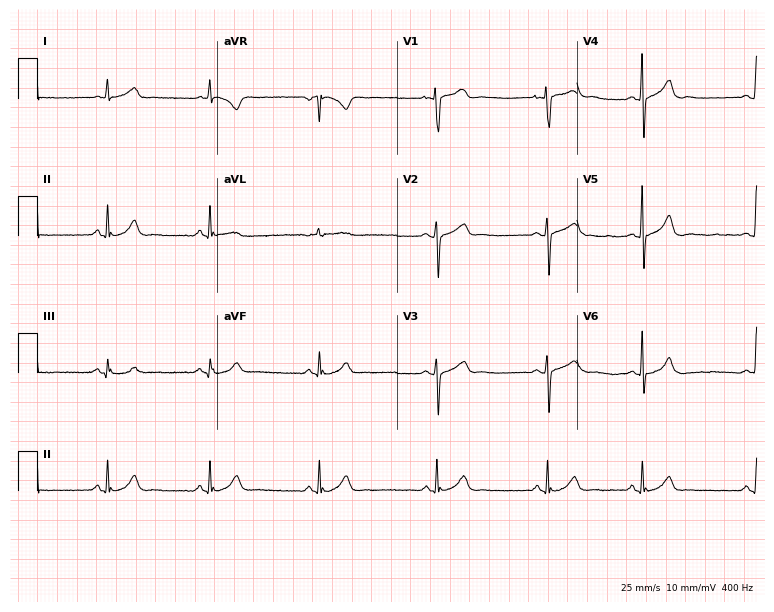
Resting 12-lead electrocardiogram (7.3-second recording at 400 Hz). Patient: a female, 17 years old. Read as a normal ECG.